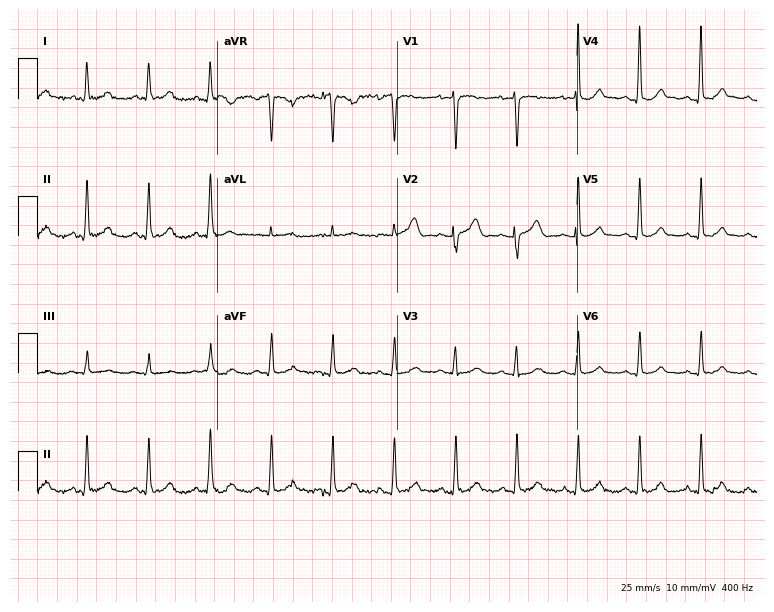
ECG — a woman, 66 years old. Labelled as a normal ECG.